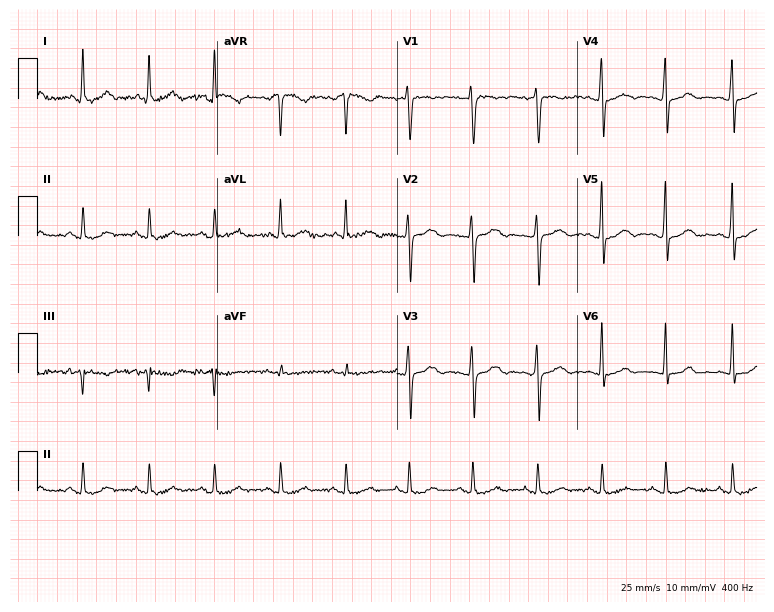
Standard 12-lead ECG recorded from a female, 46 years old. Read as a normal ECG.